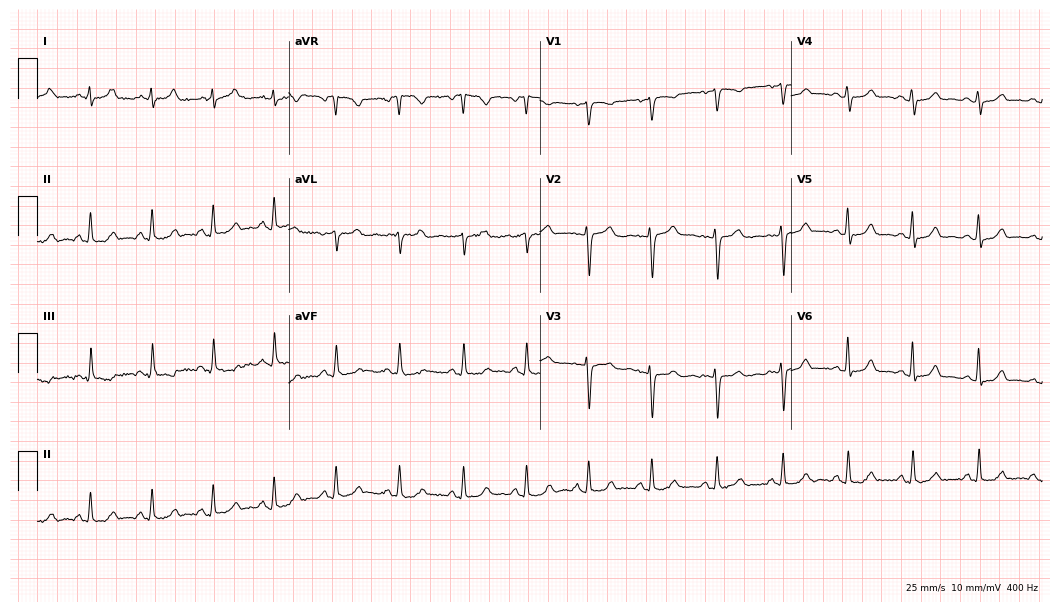
ECG (10.2-second recording at 400 Hz) — a woman, 43 years old. Labelled as a normal ECG.